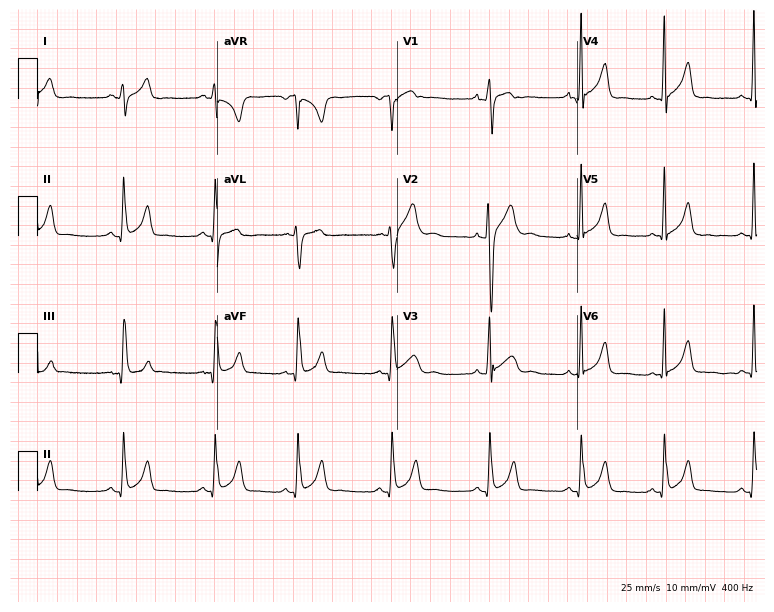
12-lead ECG from a 17-year-old male. Screened for six findings — first-degree AV block, right bundle branch block, left bundle branch block, sinus bradycardia, atrial fibrillation, sinus tachycardia — none is recorded.